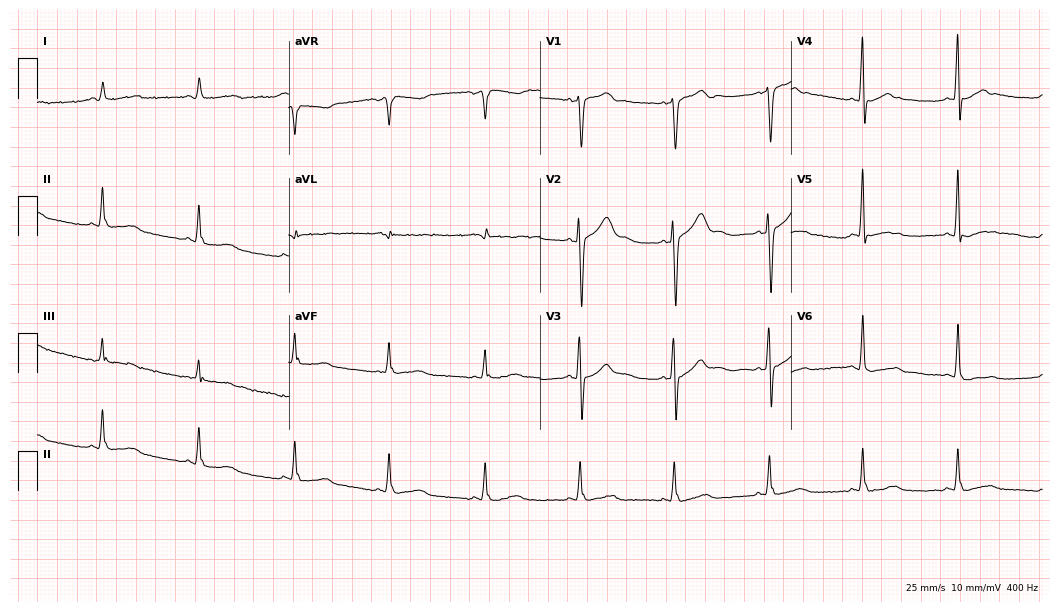
Standard 12-lead ECG recorded from a 71-year-old man. None of these six findings is recorded: first-degree AV block, right bundle branch block, left bundle branch block, sinus bradycardia, atrial fibrillation, sinus tachycardia. Only these six findings were labelled.